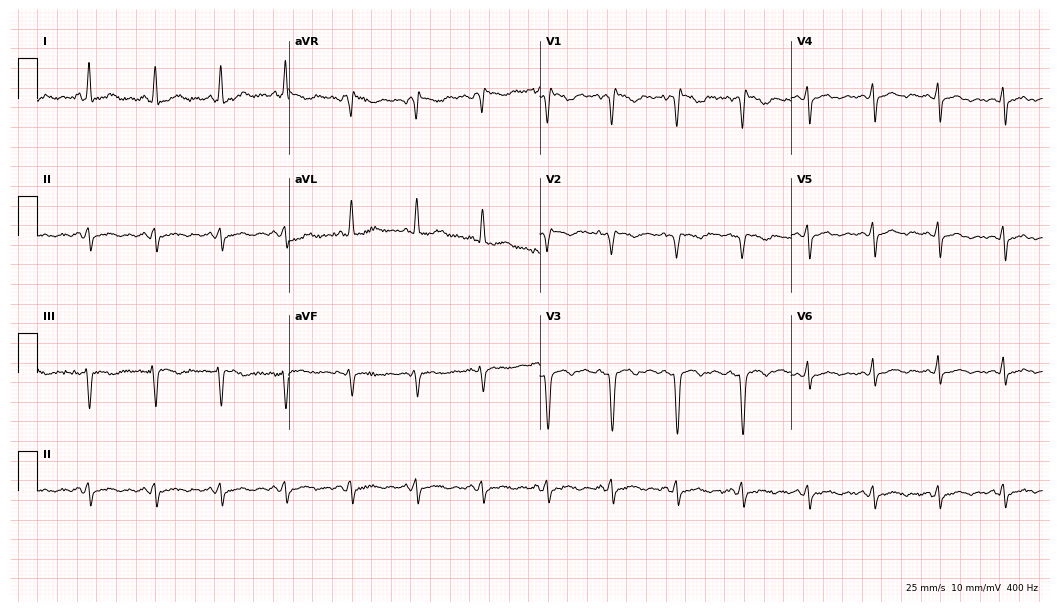
Resting 12-lead electrocardiogram. Patient: a 39-year-old female. None of these six findings is recorded: first-degree AV block, right bundle branch block, left bundle branch block, sinus bradycardia, atrial fibrillation, sinus tachycardia.